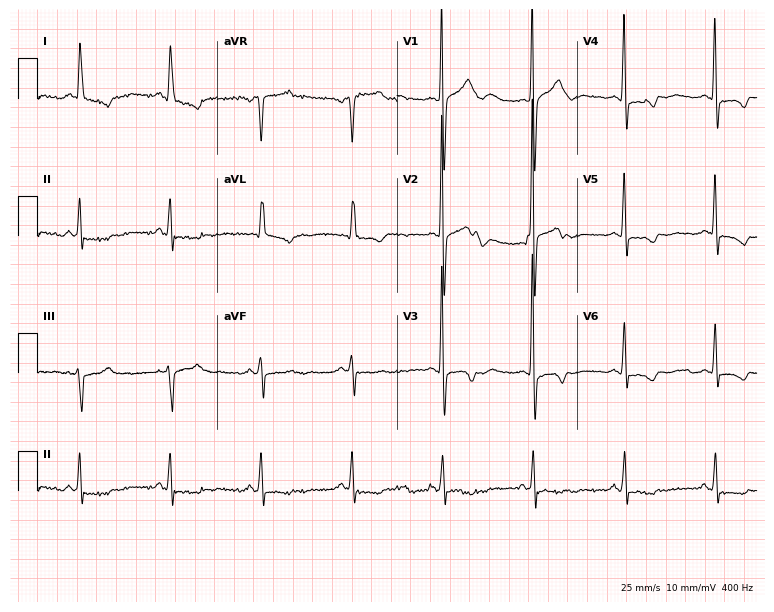
Electrocardiogram, a man, 74 years old. Of the six screened findings (first-degree AV block, right bundle branch block (RBBB), left bundle branch block (LBBB), sinus bradycardia, atrial fibrillation (AF), sinus tachycardia), none is recorded.